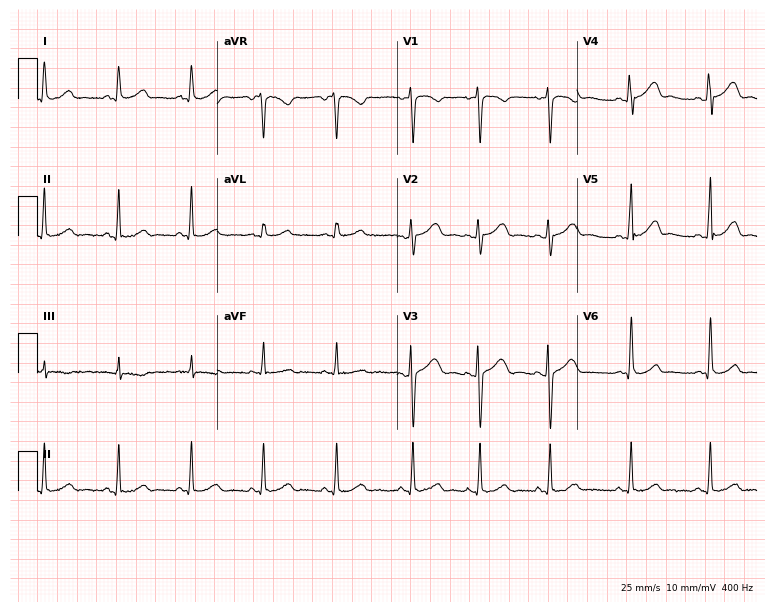
ECG (7.3-second recording at 400 Hz) — a 32-year-old female. Labelled as a normal ECG.